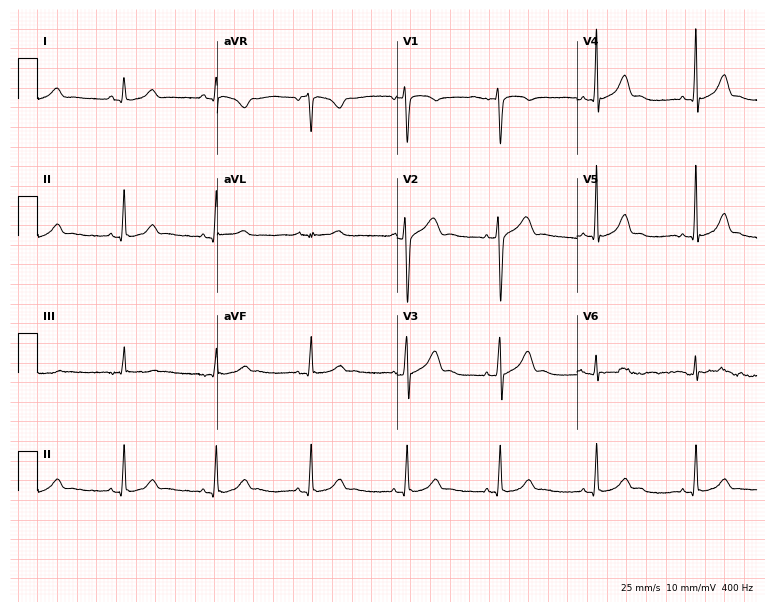
Electrocardiogram (7.3-second recording at 400 Hz), a 39-year-old woman. Overall reading on record: normal ECG.